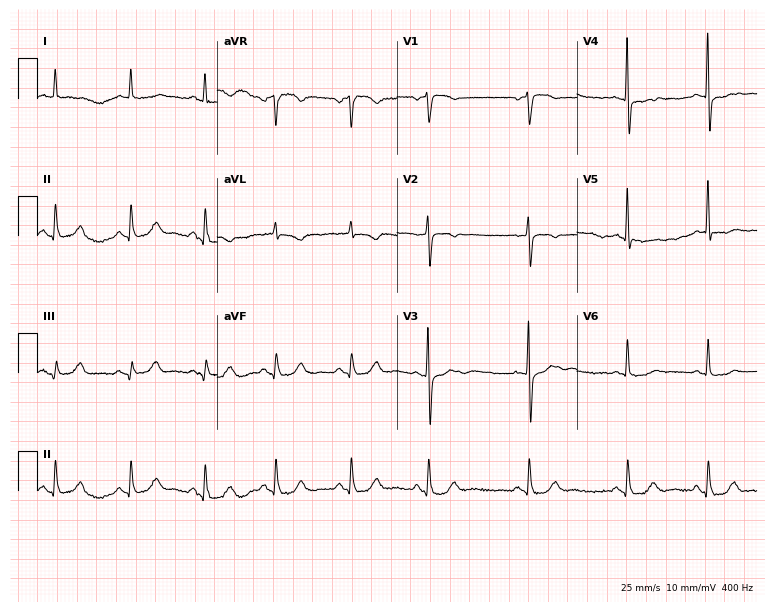
ECG (7.3-second recording at 400 Hz) — an 85-year-old female patient. Labelled as a normal ECG.